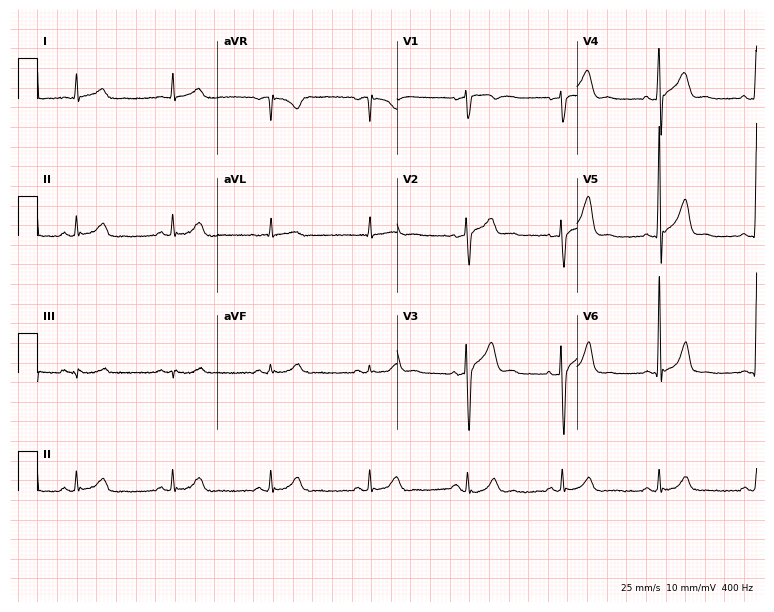
Resting 12-lead electrocardiogram. Patient: a 51-year-old male. None of these six findings is recorded: first-degree AV block, right bundle branch block, left bundle branch block, sinus bradycardia, atrial fibrillation, sinus tachycardia. Findings outside these six are not listed.